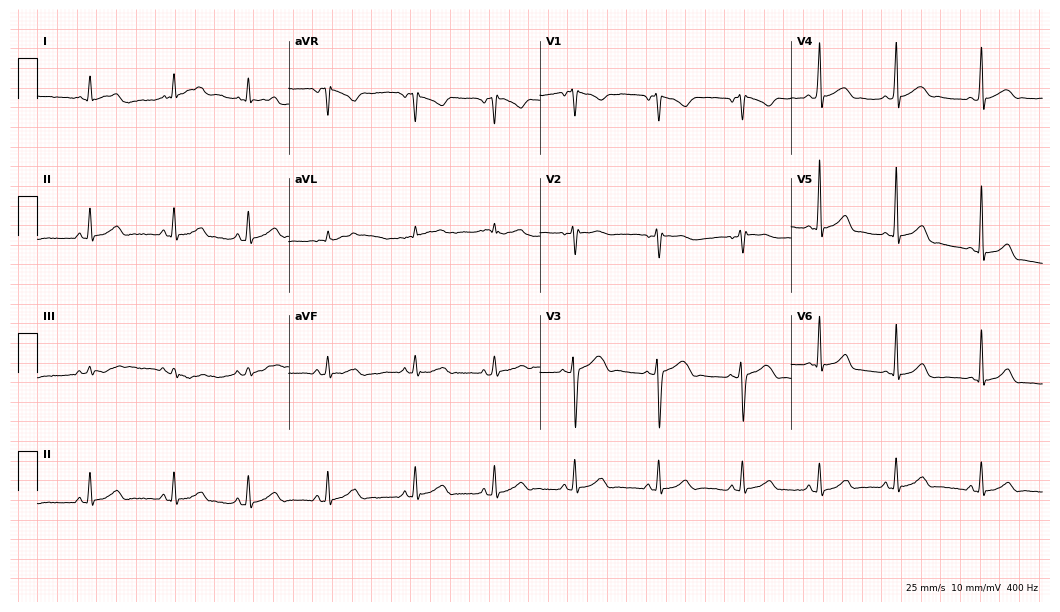
ECG — a female patient, 17 years old. Screened for six findings — first-degree AV block, right bundle branch block (RBBB), left bundle branch block (LBBB), sinus bradycardia, atrial fibrillation (AF), sinus tachycardia — none is recorded. Findings outside these six are not listed.